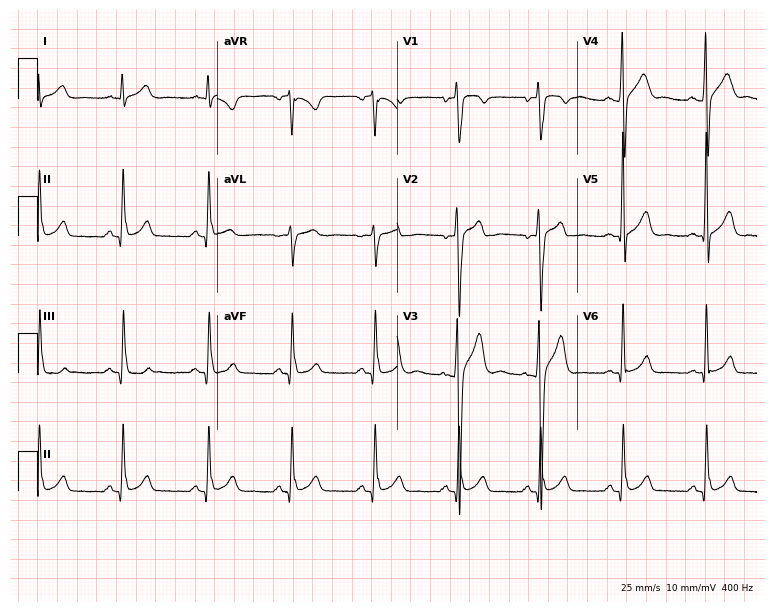
Resting 12-lead electrocardiogram (7.3-second recording at 400 Hz). Patient: a man, 22 years old. Read as a normal ECG.